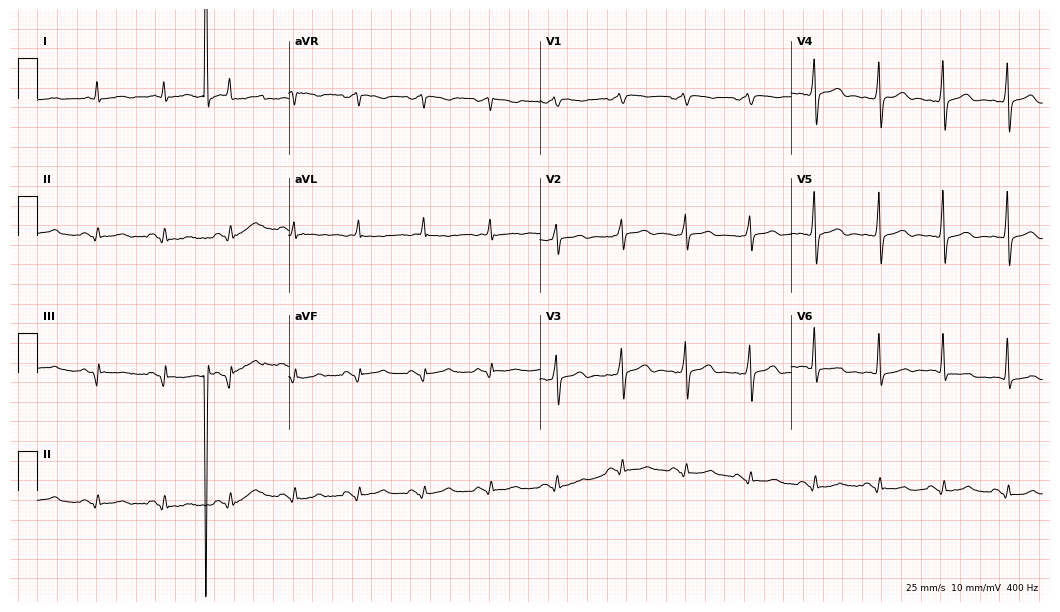
12-lead ECG from a 57-year-old male. Screened for six findings — first-degree AV block, right bundle branch block, left bundle branch block, sinus bradycardia, atrial fibrillation, sinus tachycardia — none is recorded. Findings outside these six are not listed.